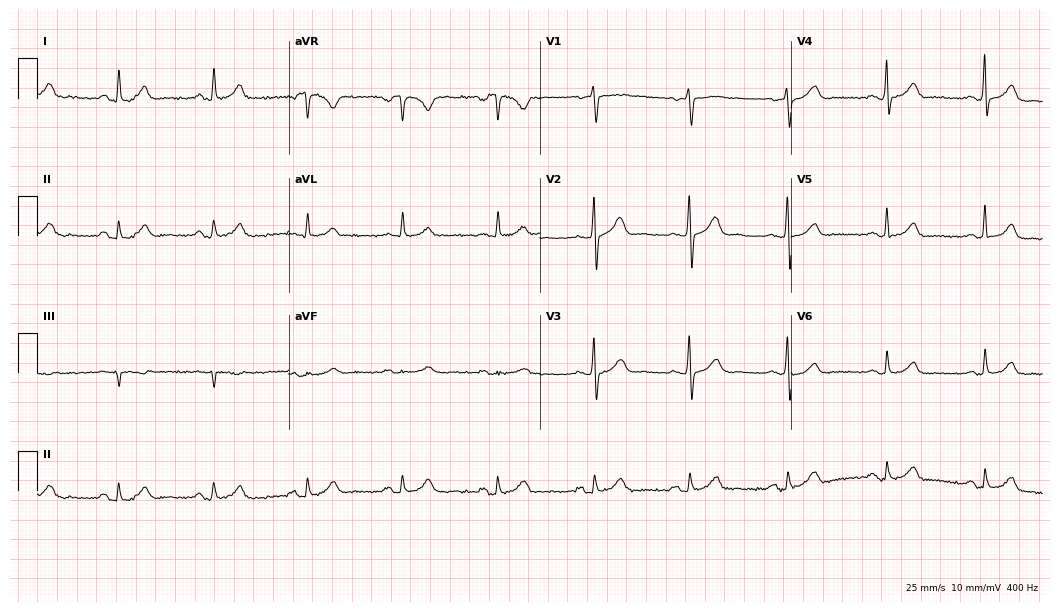
12-lead ECG from a 53-year-old woman. Labelled as a normal ECG.